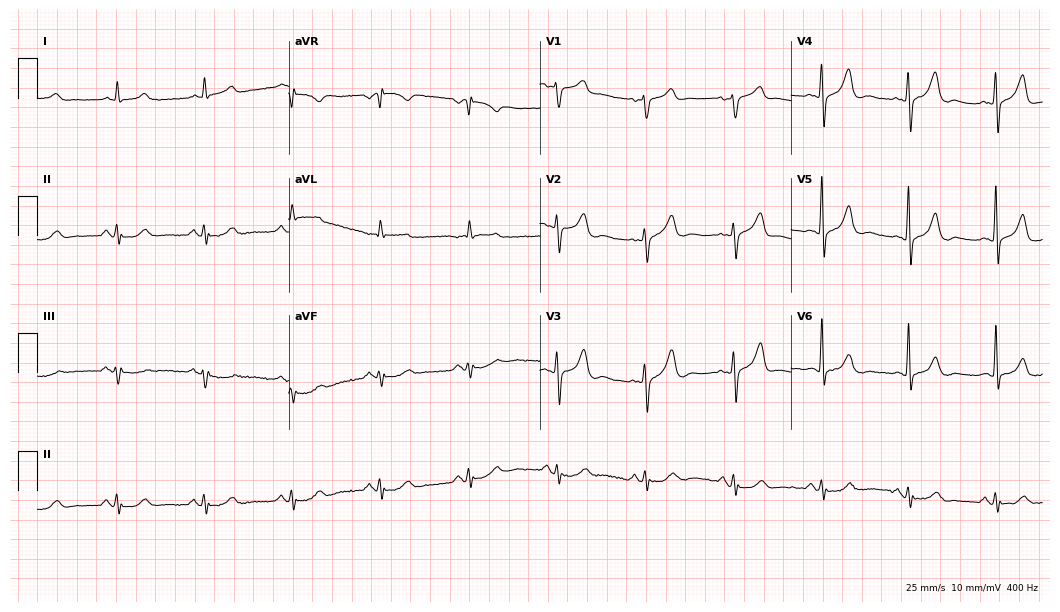
12-lead ECG from a male, 72 years old (10.2-second recording at 400 Hz). No first-degree AV block, right bundle branch block (RBBB), left bundle branch block (LBBB), sinus bradycardia, atrial fibrillation (AF) or sinus tachycardia recorded for this tracing.